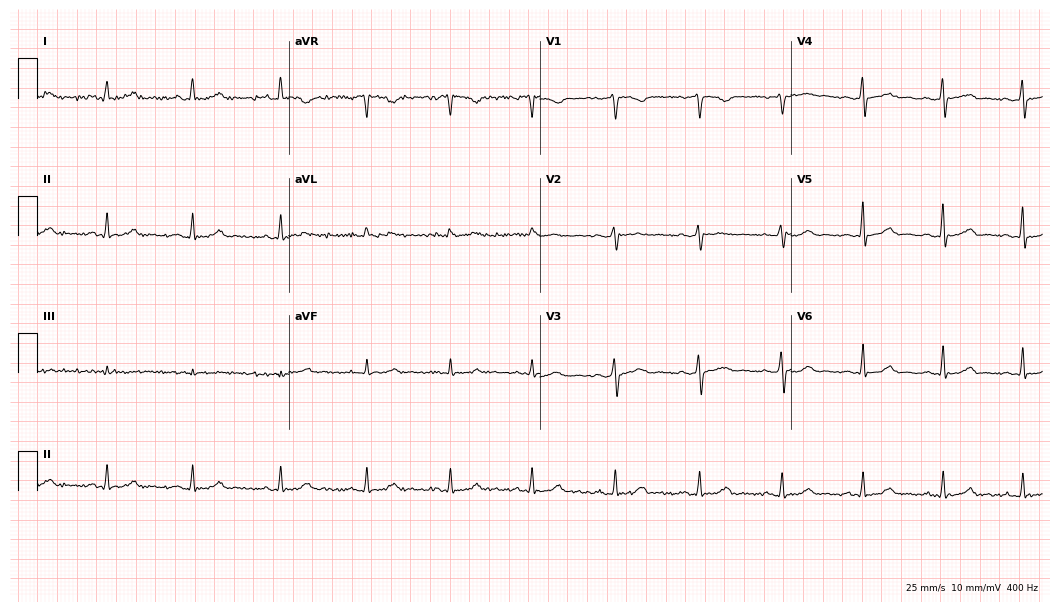
Electrocardiogram (10.2-second recording at 400 Hz), a 36-year-old female patient. Overall reading on record: normal ECG.